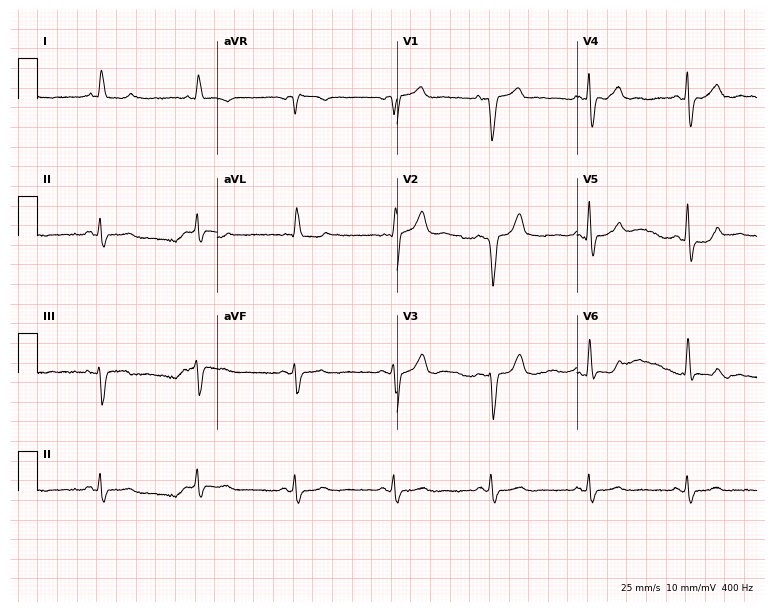
ECG (7.3-second recording at 400 Hz) — a 69-year-old male patient. Findings include right bundle branch block (RBBB).